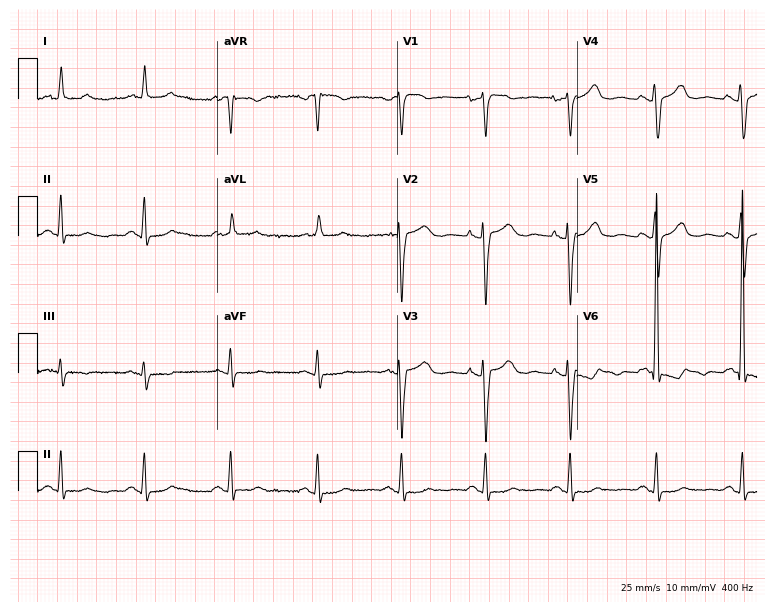
Electrocardiogram, a female patient, 84 years old. Of the six screened findings (first-degree AV block, right bundle branch block, left bundle branch block, sinus bradycardia, atrial fibrillation, sinus tachycardia), none is recorded.